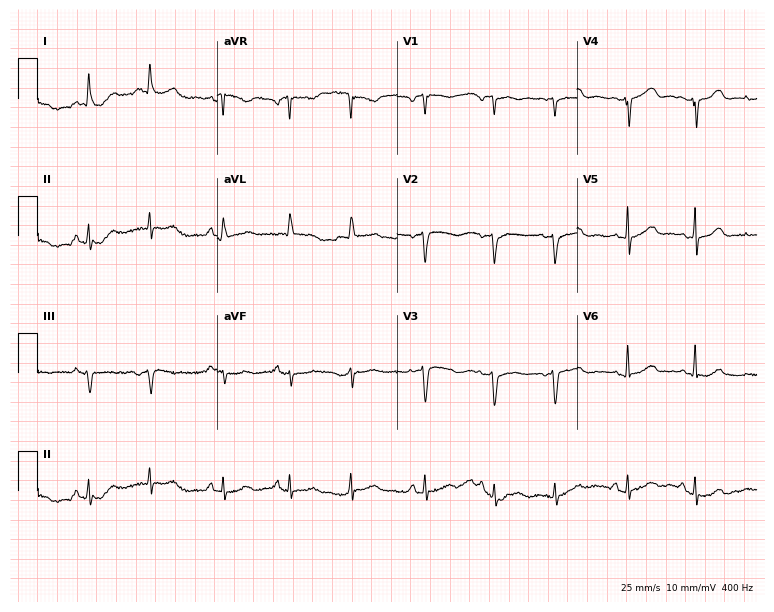
12-lead ECG from a 73-year-old female patient (7.3-second recording at 400 Hz). No first-degree AV block, right bundle branch block, left bundle branch block, sinus bradycardia, atrial fibrillation or sinus tachycardia recorded for this tracing.